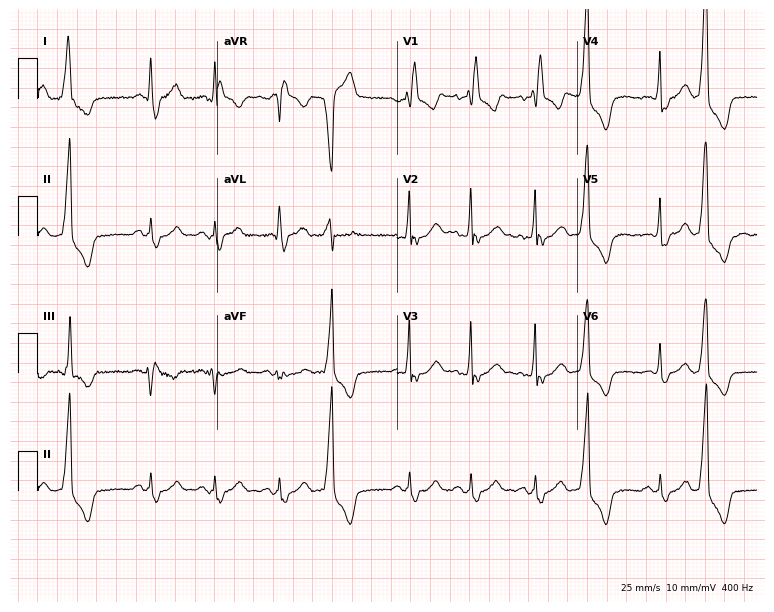
Standard 12-lead ECG recorded from a 74-year-old female patient. The tracing shows right bundle branch block.